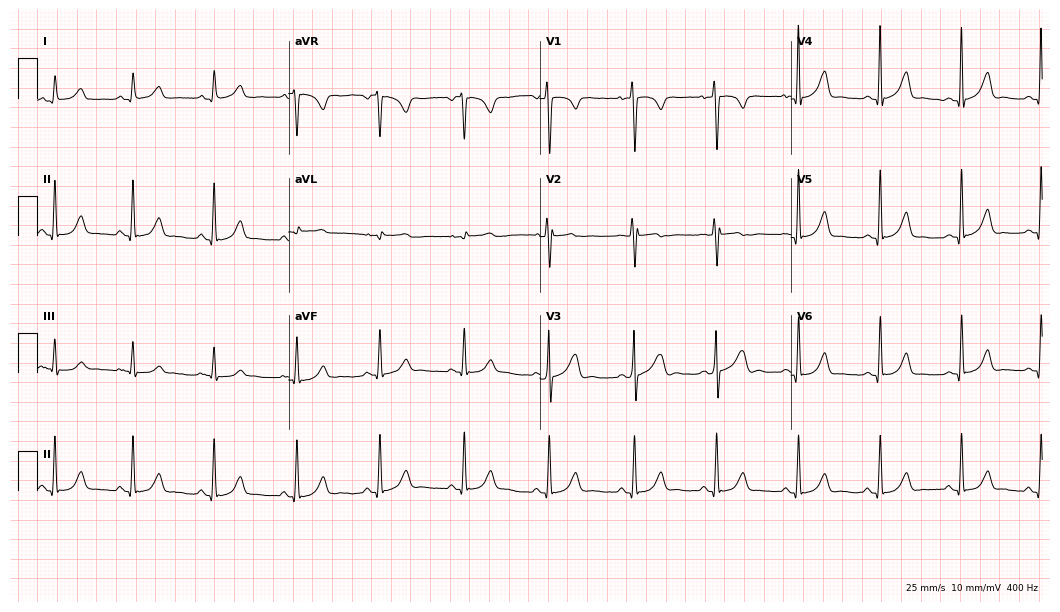
Electrocardiogram (10.2-second recording at 400 Hz), a man, 57 years old. Overall reading on record: normal ECG.